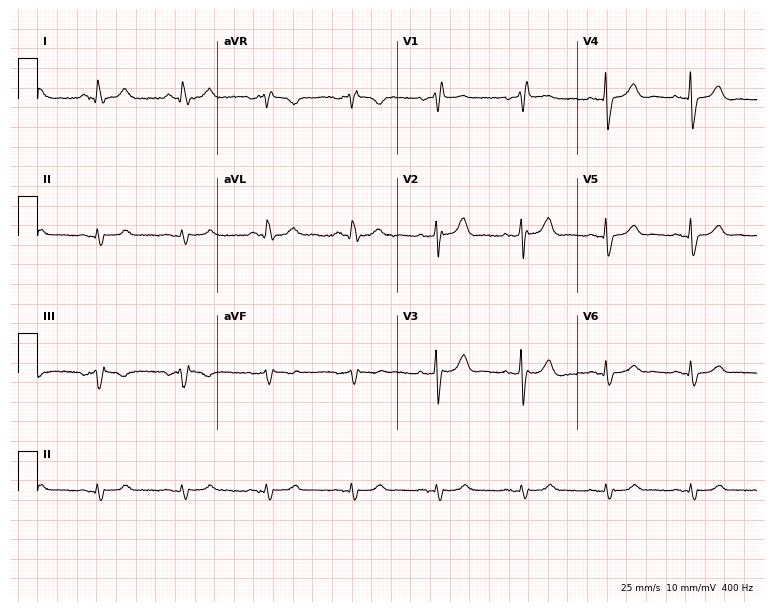
ECG (7.3-second recording at 400 Hz) — a 71-year-old man. Findings include right bundle branch block.